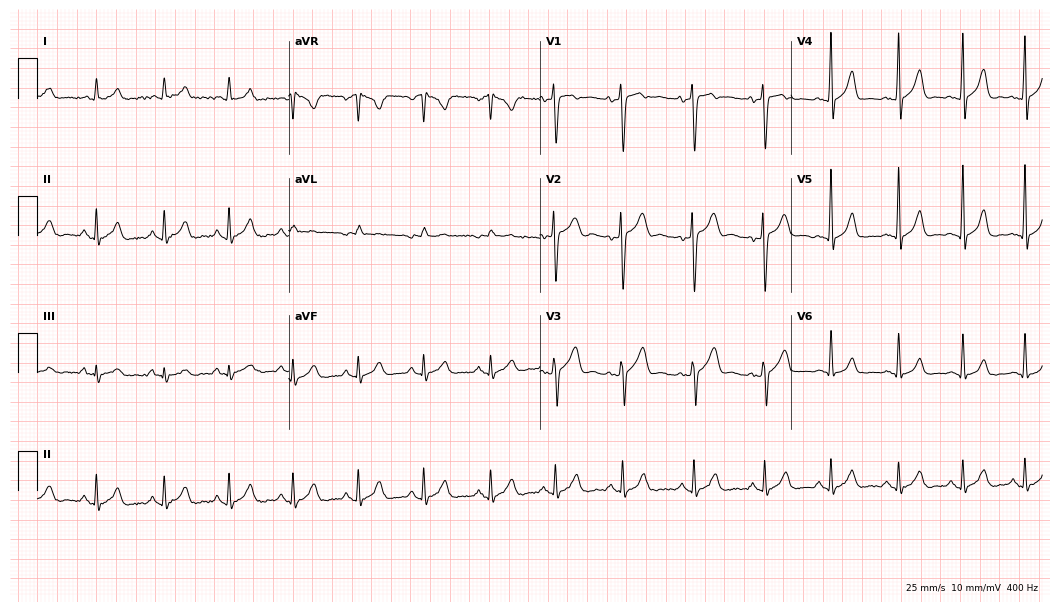
ECG (10.2-second recording at 400 Hz) — a male patient, 20 years old. Labelled as a normal ECG.